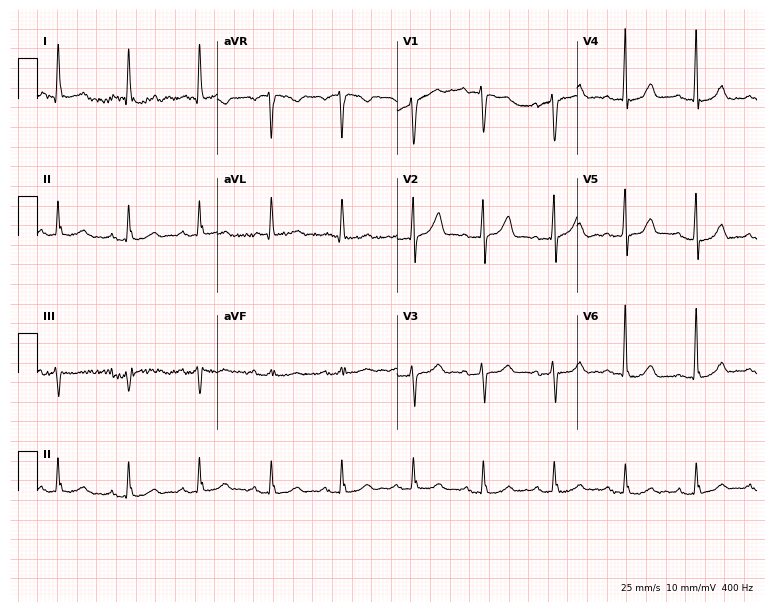
Standard 12-lead ECG recorded from a man, 75 years old (7.3-second recording at 400 Hz). Read as a normal ECG.